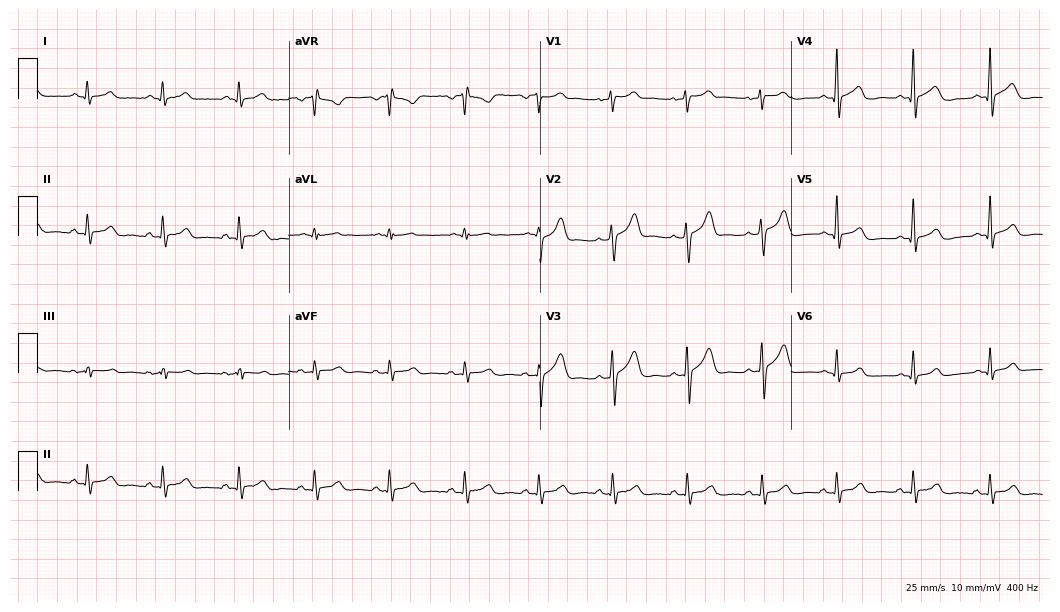
ECG — a male, 44 years old. Screened for six findings — first-degree AV block, right bundle branch block, left bundle branch block, sinus bradycardia, atrial fibrillation, sinus tachycardia — none is recorded. Other findings, if any, are not listed.